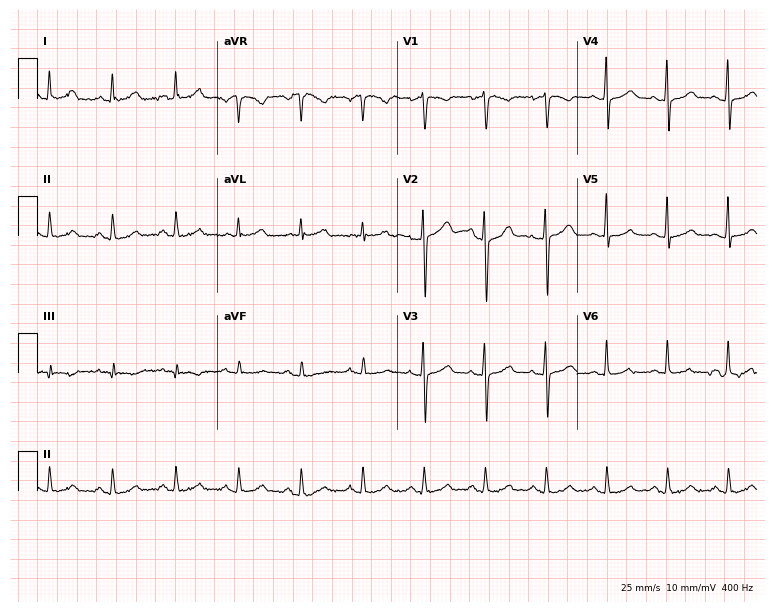
12-lead ECG from a 42-year-old man (7.3-second recording at 400 Hz). Recorded interpretation: within normal limits.